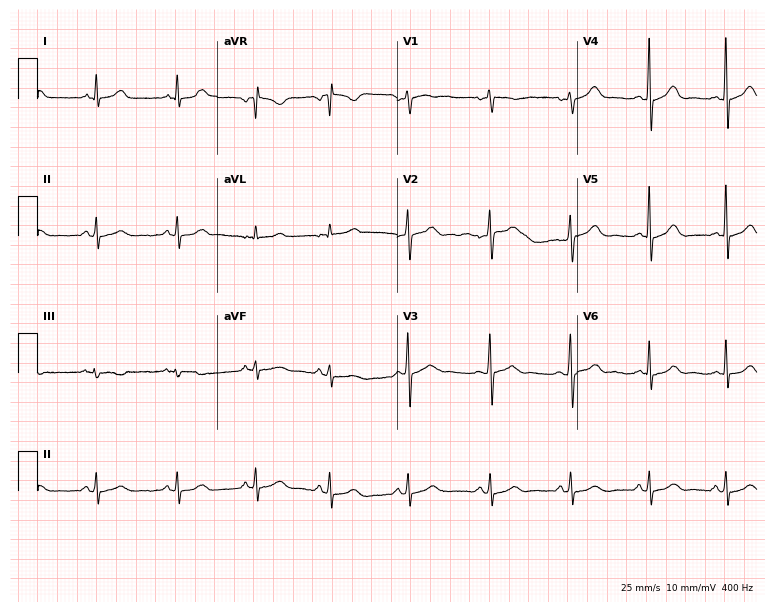
12-lead ECG (7.3-second recording at 400 Hz) from a woman, 46 years old. Labelled as a normal ECG.